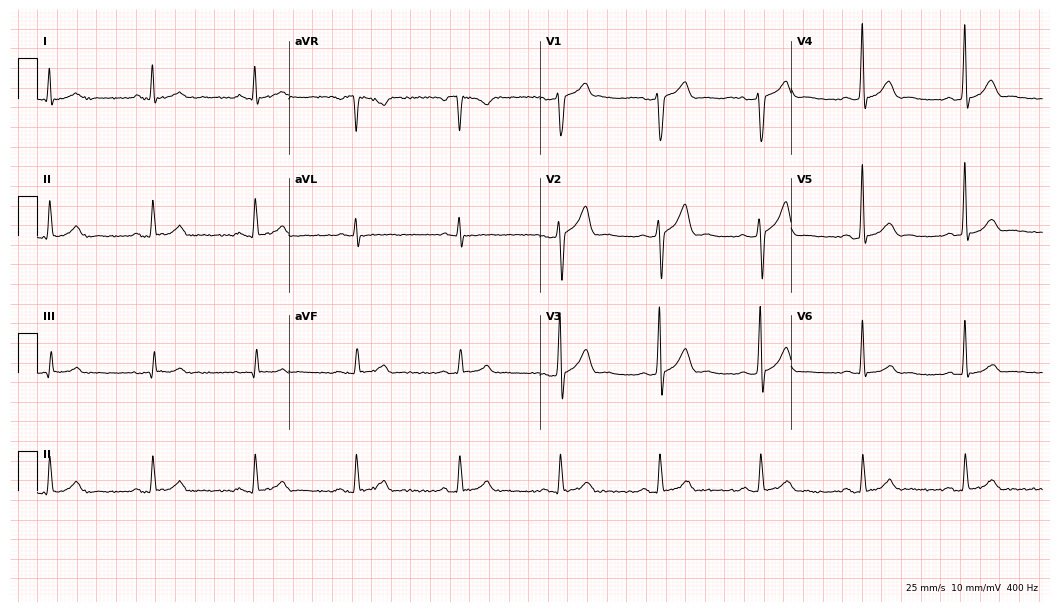
Electrocardiogram (10.2-second recording at 400 Hz), a male patient, 36 years old. Overall reading on record: normal ECG.